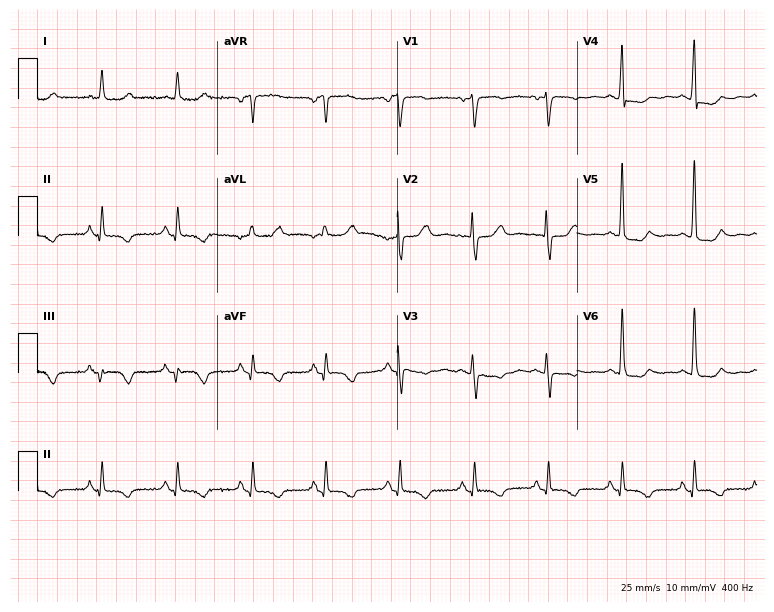
ECG — a woman, 75 years old. Screened for six findings — first-degree AV block, right bundle branch block, left bundle branch block, sinus bradycardia, atrial fibrillation, sinus tachycardia — none is recorded. Other findings, if any, are not listed.